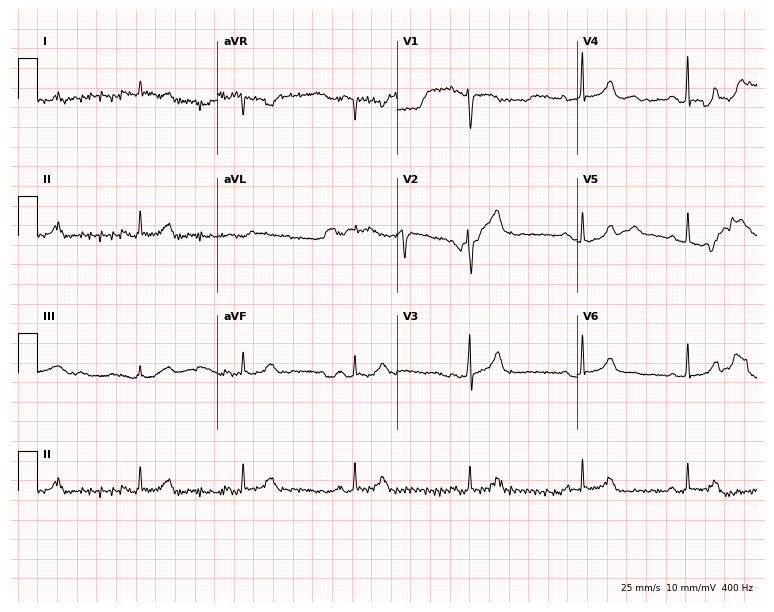
Standard 12-lead ECG recorded from a female patient, 38 years old (7.3-second recording at 400 Hz). Read as a normal ECG.